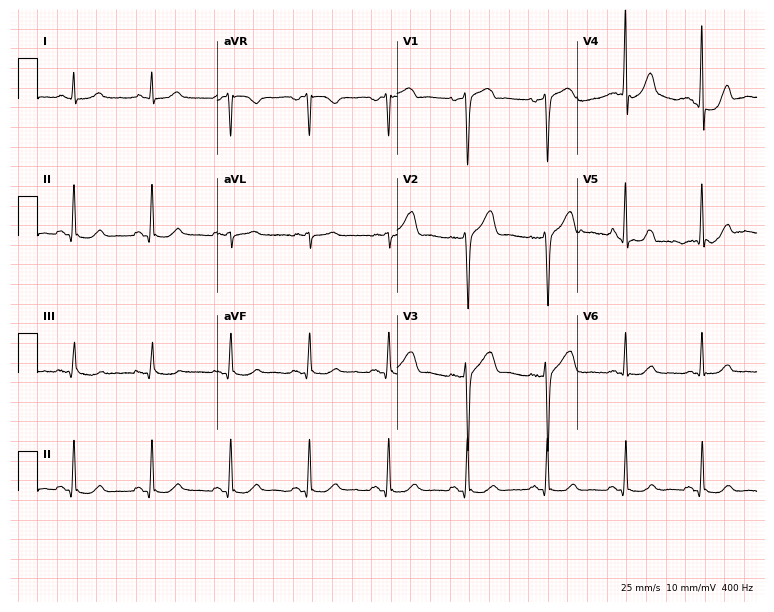
12-lead ECG from a male, 49 years old. Labelled as a normal ECG.